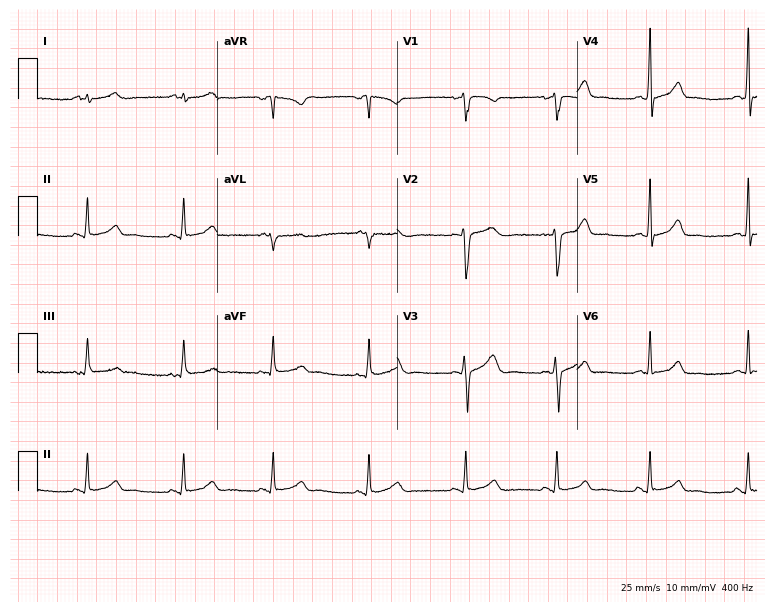
ECG (7.3-second recording at 400 Hz) — a 19-year-old female patient. Screened for six findings — first-degree AV block, right bundle branch block (RBBB), left bundle branch block (LBBB), sinus bradycardia, atrial fibrillation (AF), sinus tachycardia — none is recorded.